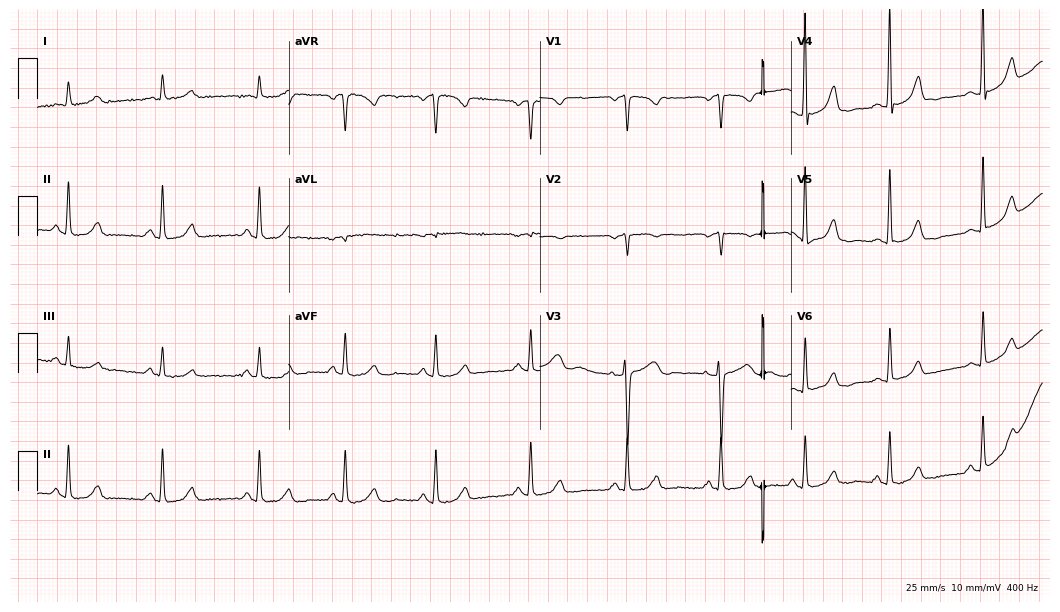
ECG (10.2-second recording at 400 Hz) — a woman, 51 years old. Labelled as a normal ECG.